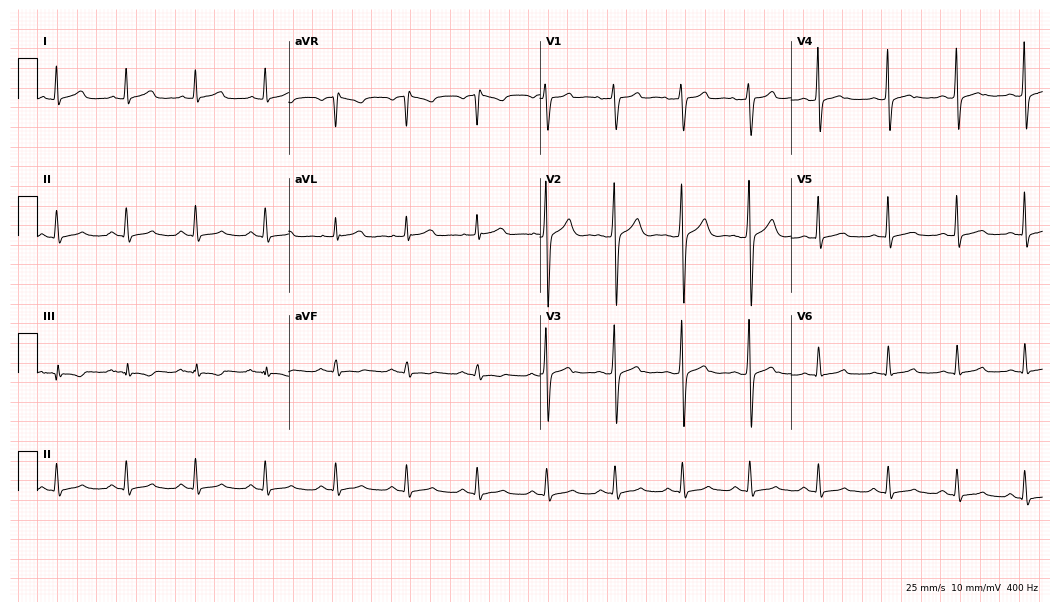
12-lead ECG from a 42-year-old male patient. Recorded interpretation: within normal limits.